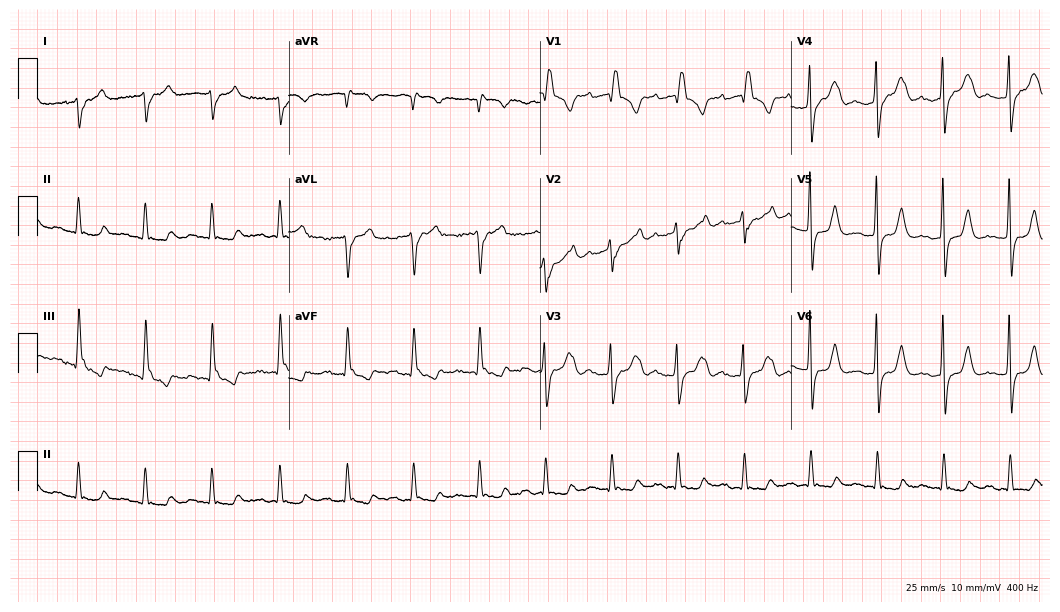
Electrocardiogram, a woman, 83 years old. Of the six screened findings (first-degree AV block, right bundle branch block, left bundle branch block, sinus bradycardia, atrial fibrillation, sinus tachycardia), none is recorded.